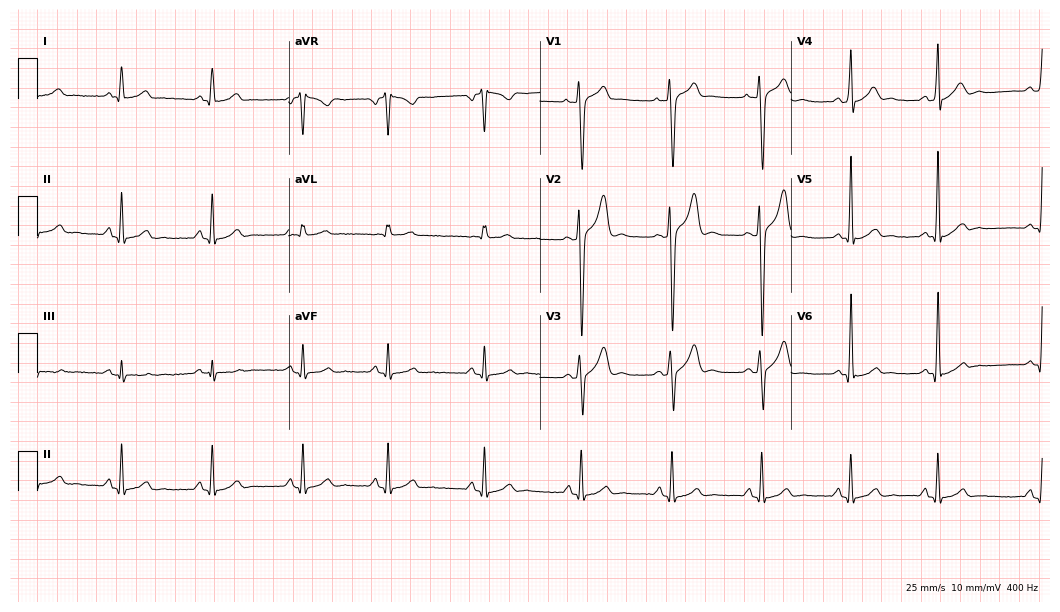
Electrocardiogram, a 20-year-old man. Overall reading on record: normal ECG.